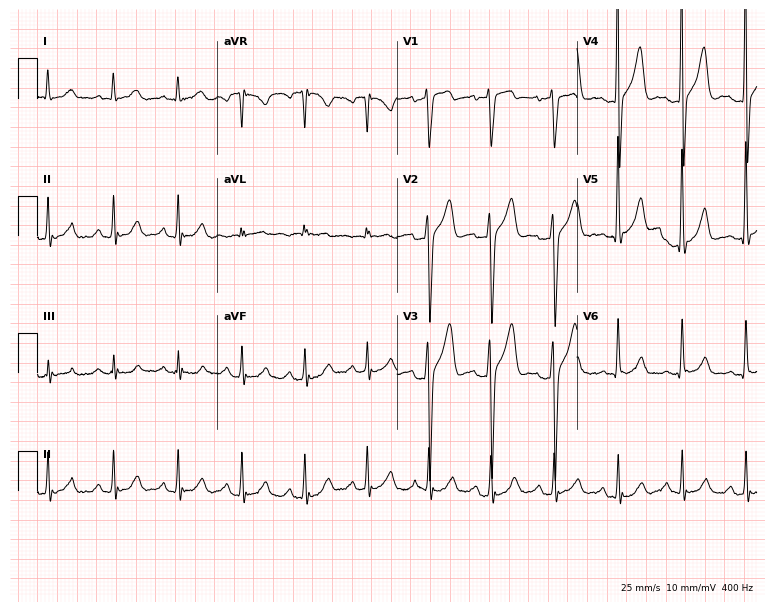
12-lead ECG from a 51-year-old male patient. Labelled as a normal ECG.